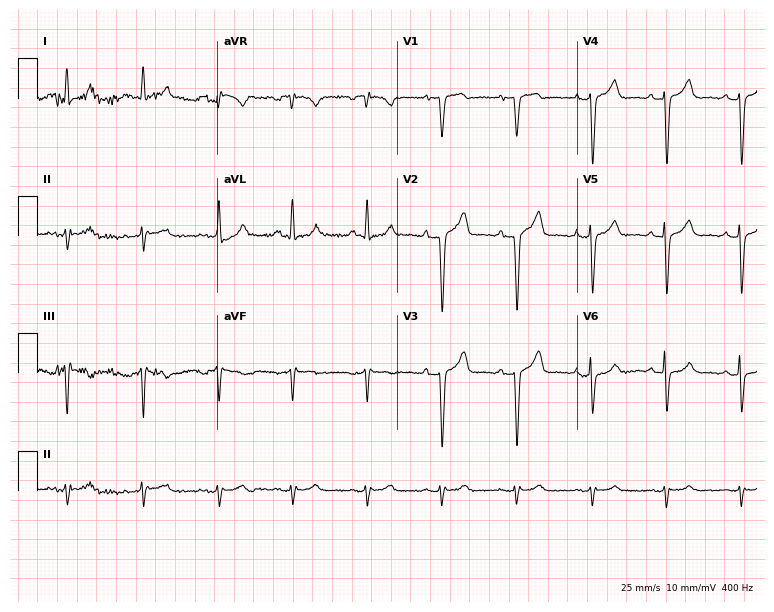
12-lead ECG from a male, 64 years old (7.3-second recording at 400 Hz). No first-degree AV block, right bundle branch block (RBBB), left bundle branch block (LBBB), sinus bradycardia, atrial fibrillation (AF) or sinus tachycardia recorded for this tracing. Findings outside these six are not listed.